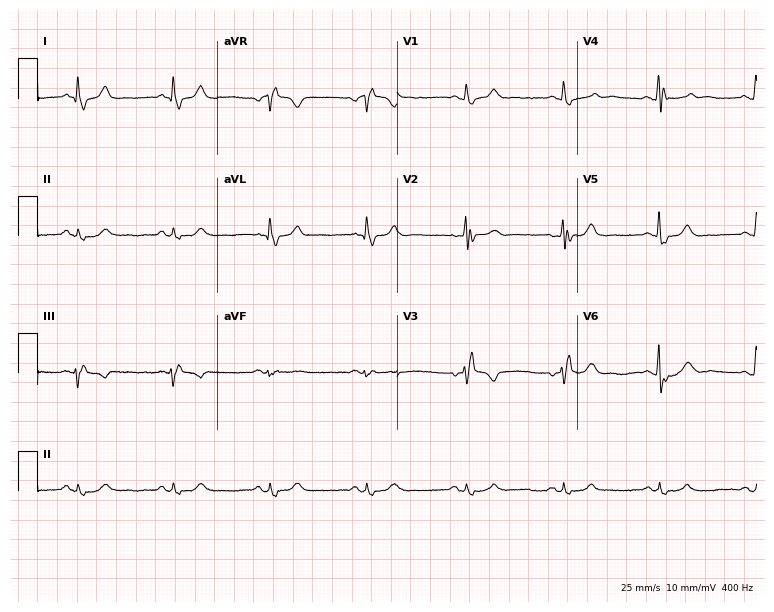
ECG (7.3-second recording at 400 Hz) — a male patient, 64 years old. Screened for six findings — first-degree AV block, right bundle branch block (RBBB), left bundle branch block (LBBB), sinus bradycardia, atrial fibrillation (AF), sinus tachycardia — none is recorded.